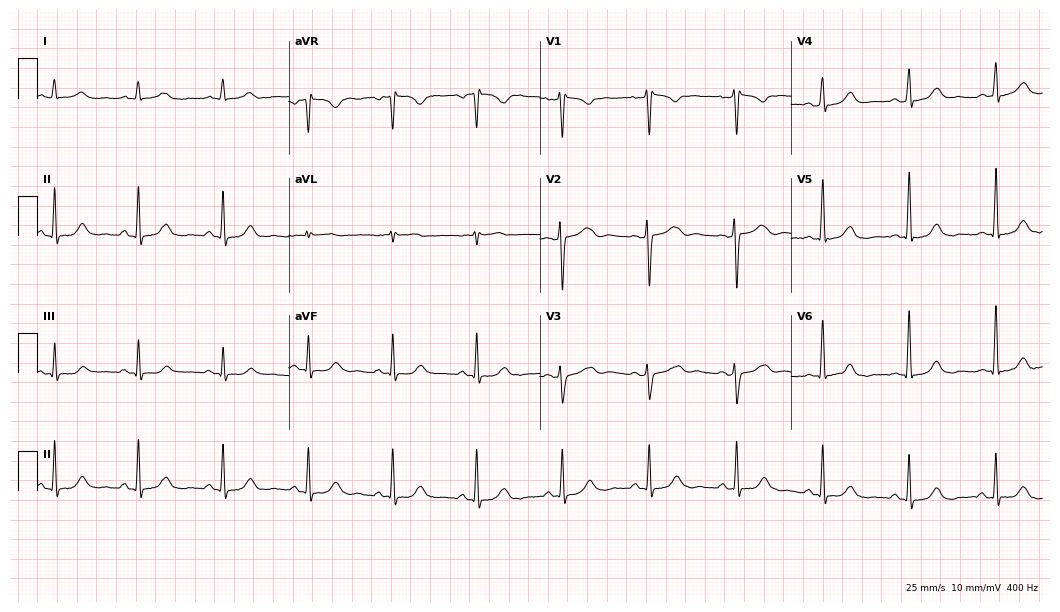
12-lead ECG from a 56-year-old female patient. Recorded interpretation: within normal limits.